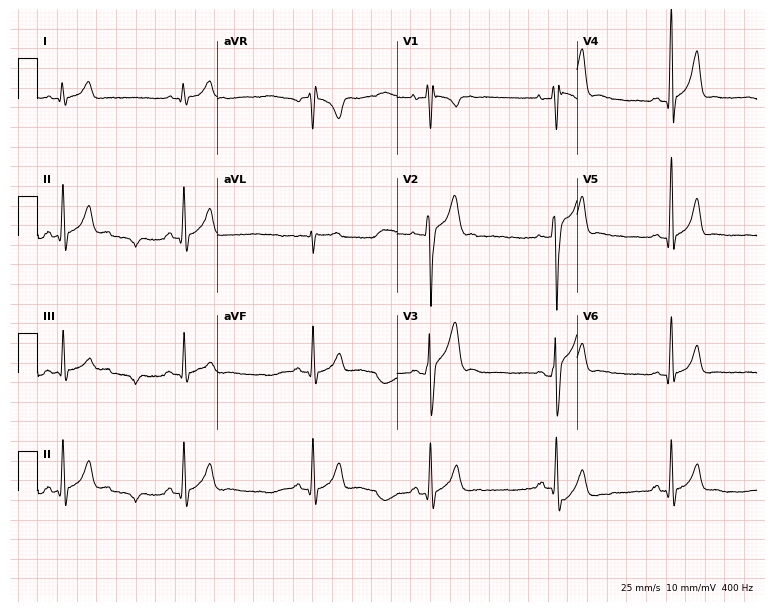
12-lead ECG (7.3-second recording at 400 Hz) from a 20-year-old male. Findings include sinus bradycardia (a sinus rate of 50 beats per minute or less).